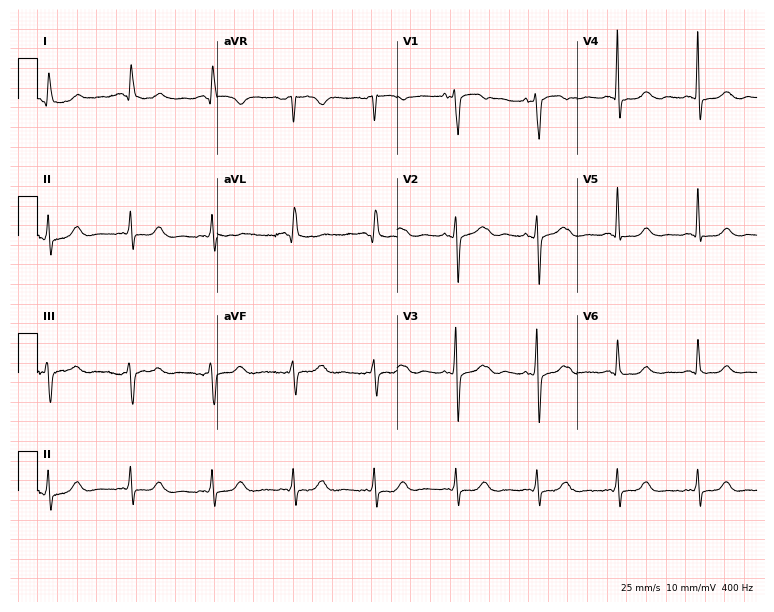
Resting 12-lead electrocardiogram (7.3-second recording at 400 Hz). Patient: a female, 76 years old. None of these six findings is recorded: first-degree AV block, right bundle branch block, left bundle branch block, sinus bradycardia, atrial fibrillation, sinus tachycardia.